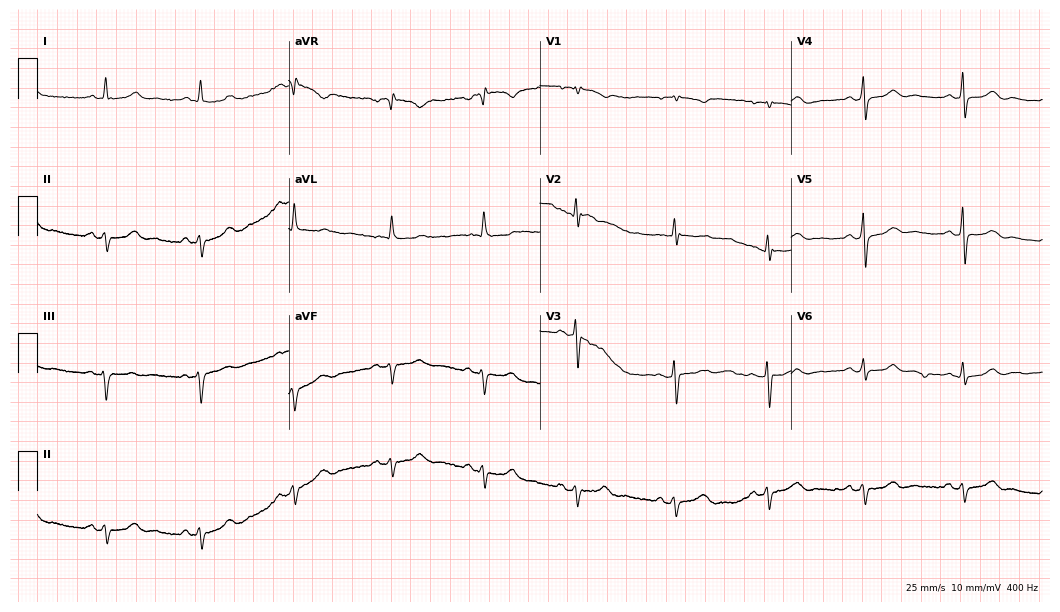
ECG (10.2-second recording at 400 Hz) — a 67-year-old woman. Screened for six findings — first-degree AV block, right bundle branch block (RBBB), left bundle branch block (LBBB), sinus bradycardia, atrial fibrillation (AF), sinus tachycardia — none is recorded. Findings outside these six are not listed.